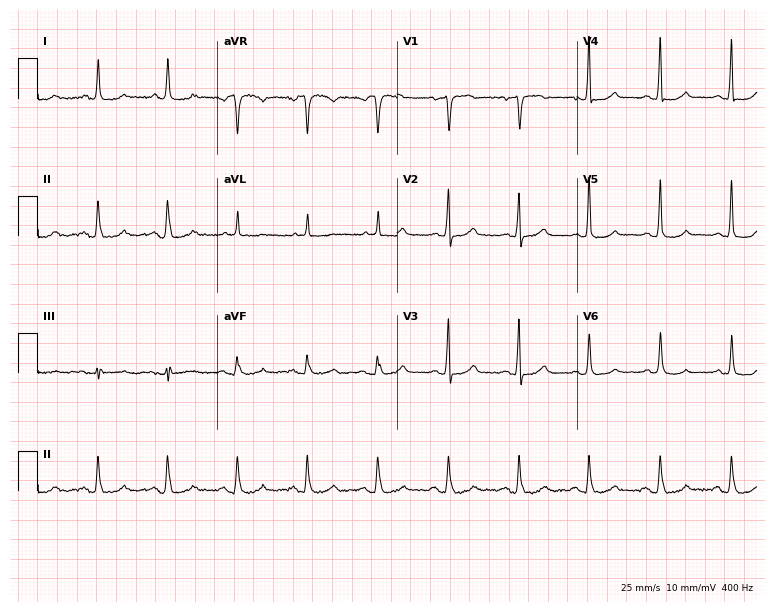
12-lead ECG (7.3-second recording at 400 Hz) from a 77-year-old woman. Screened for six findings — first-degree AV block, right bundle branch block, left bundle branch block, sinus bradycardia, atrial fibrillation, sinus tachycardia — none is recorded.